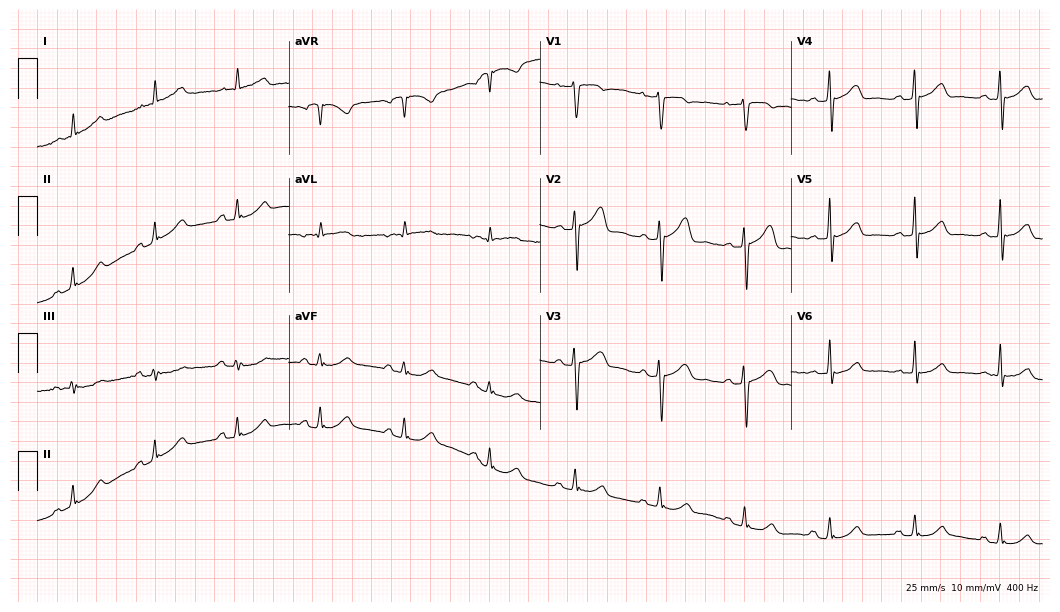
12-lead ECG from a male, 66 years old. Labelled as a normal ECG.